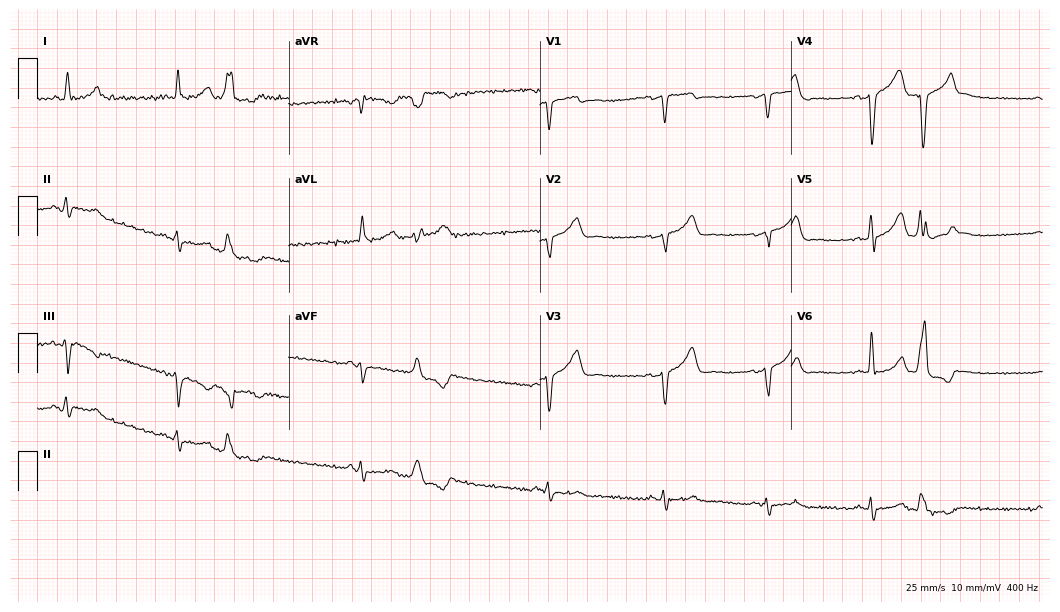
Standard 12-lead ECG recorded from a man, 68 years old (10.2-second recording at 400 Hz). None of these six findings is recorded: first-degree AV block, right bundle branch block, left bundle branch block, sinus bradycardia, atrial fibrillation, sinus tachycardia. Other findings, if any, are not listed.